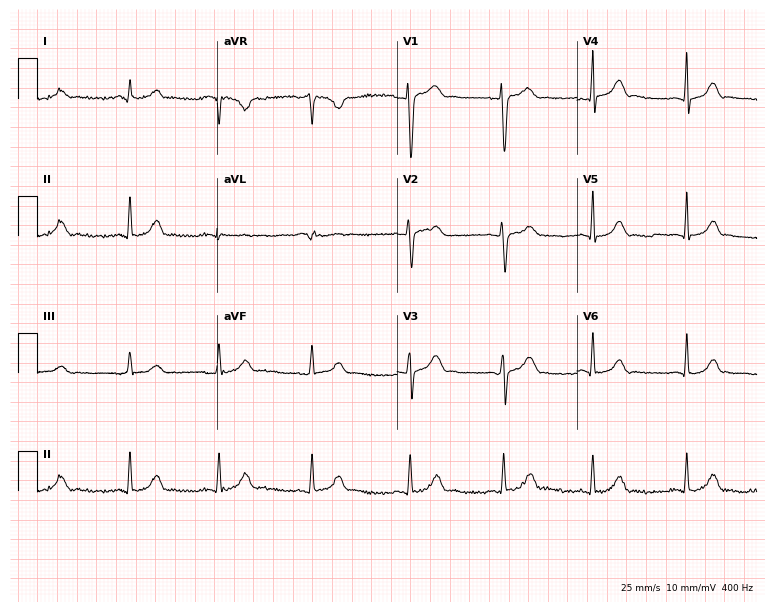
Electrocardiogram (7.3-second recording at 400 Hz), a female patient, 18 years old. Overall reading on record: normal ECG.